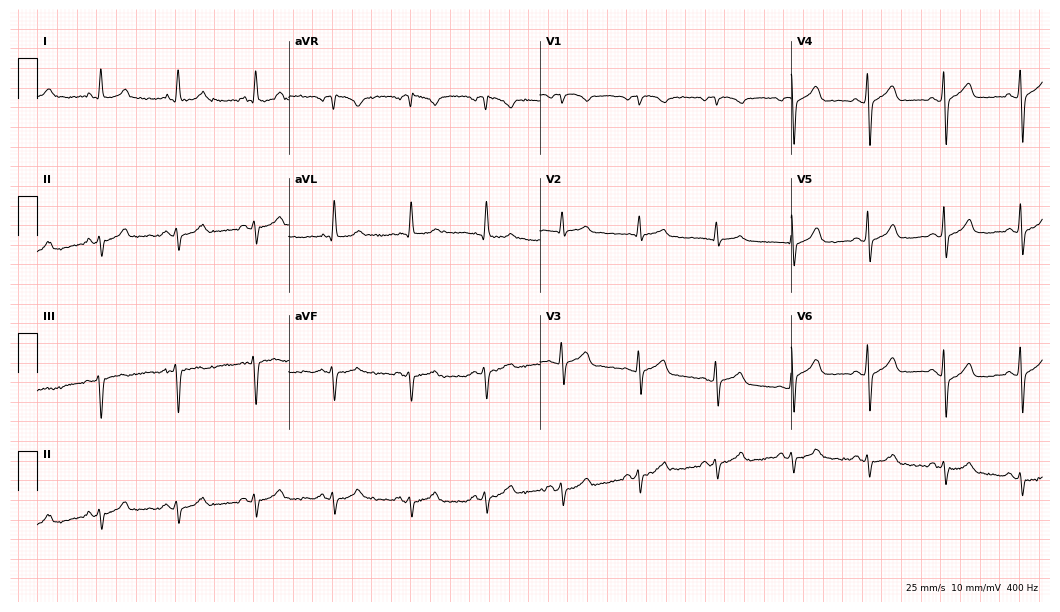
Resting 12-lead electrocardiogram (10.2-second recording at 400 Hz). Patient: a 79-year-old male. None of these six findings is recorded: first-degree AV block, right bundle branch block, left bundle branch block, sinus bradycardia, atrial fibrillation, sinus tachycardia. Findings outside these six are not listed.